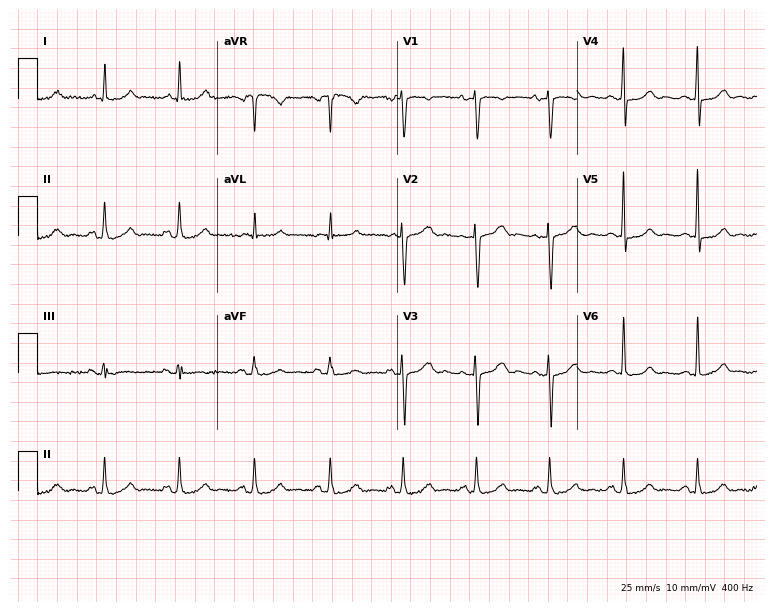
Resting 12-lead electrocardiogram. Patient: a 35-year-old woman. Read as a normal ECG.